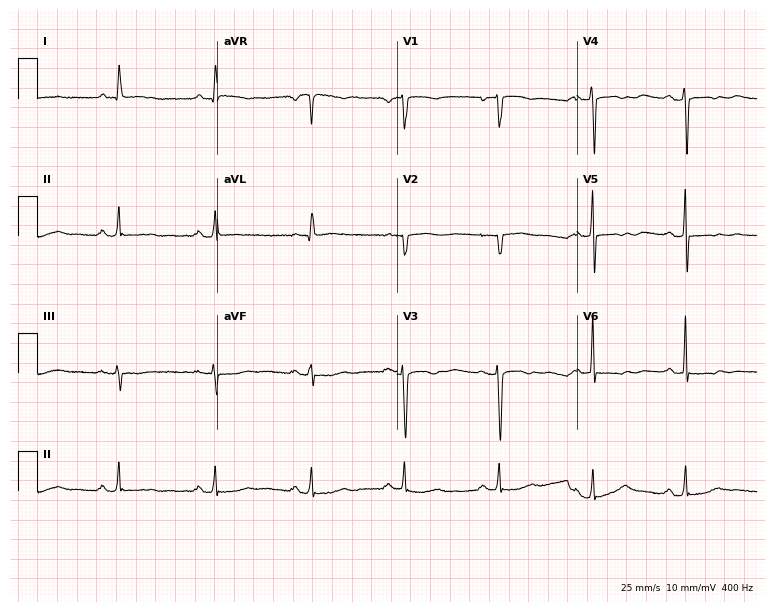
12-lead ECG from a 60-year-old female (7.3-second recording at 400 Hz). No first-degree AV block, right bundle branch block, left bundle branch block, sinus bradycardia, atrial fibrillation or sinus tachycardia recorded for this tracing.